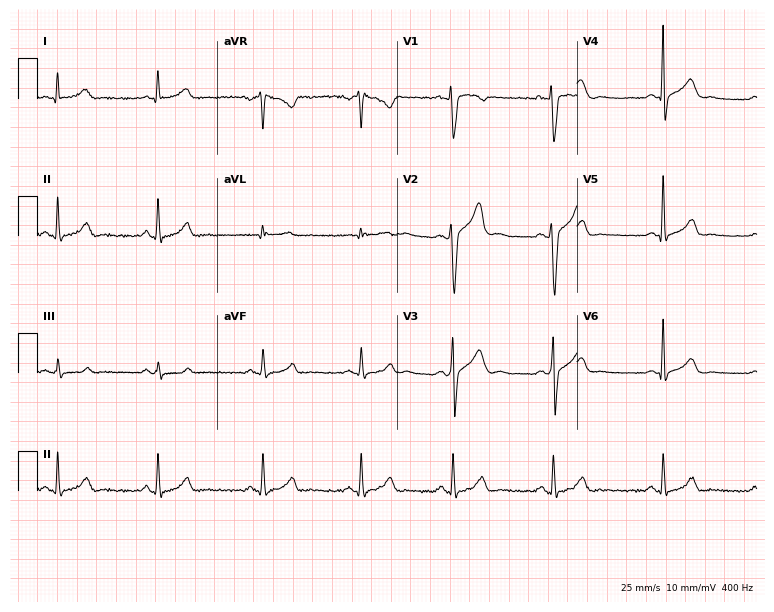
Electrocardiogram, a male, 38 years old. Of the six screened findings (first-degree AV block, right bundle branch block, left bundle branch block, sinus bradycardia, atrial fibrillation, sinus tachycardia), none is recorded.